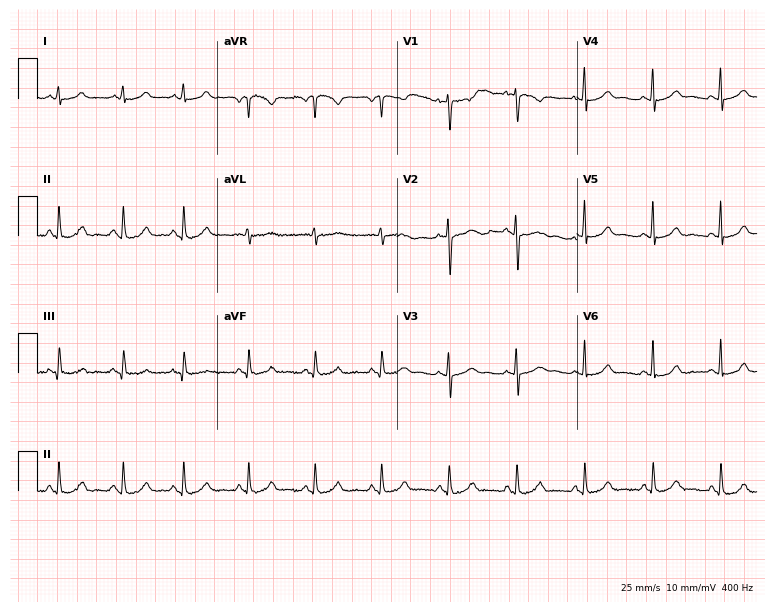
ECG — a female patient, 24 years old. Labelled as a normal ECG.